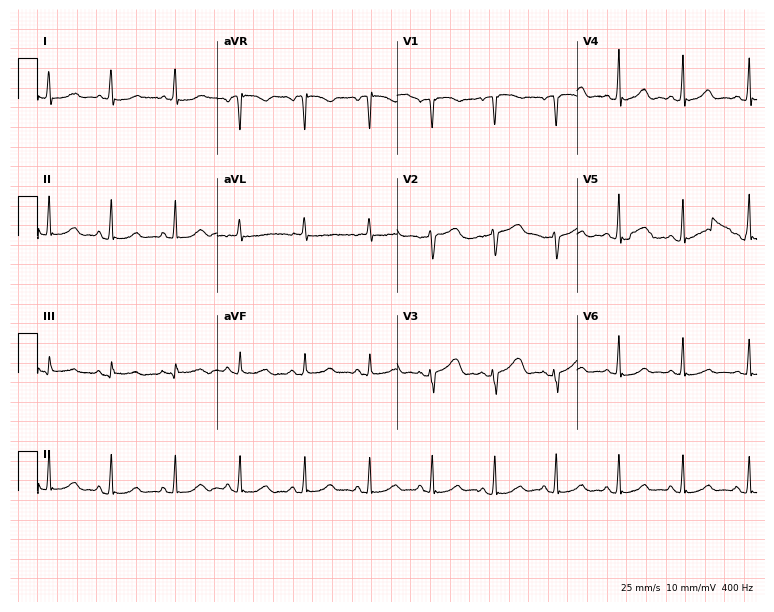
12-lead ECG from a 76-year-old female. Recorded interpretation: within normal limits.